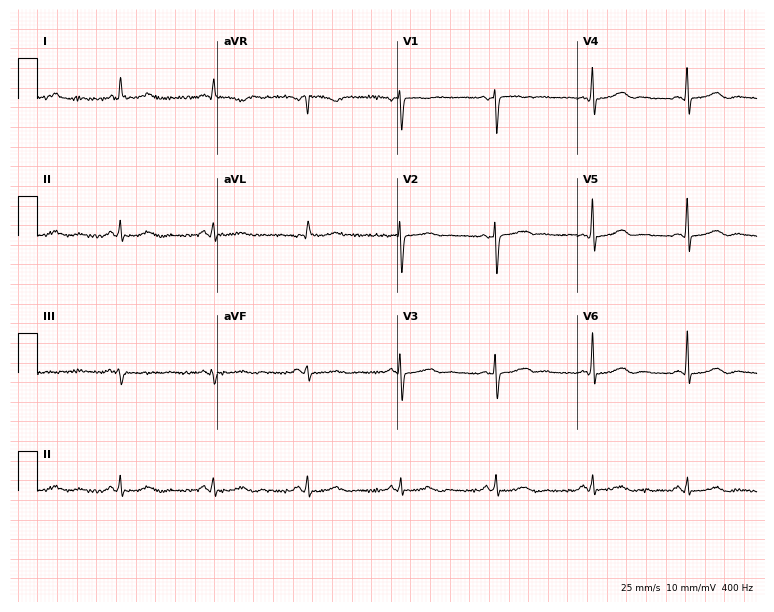
Standard 12-lead ECG recorded from a female, 82 years old. Read as a normal ECG.